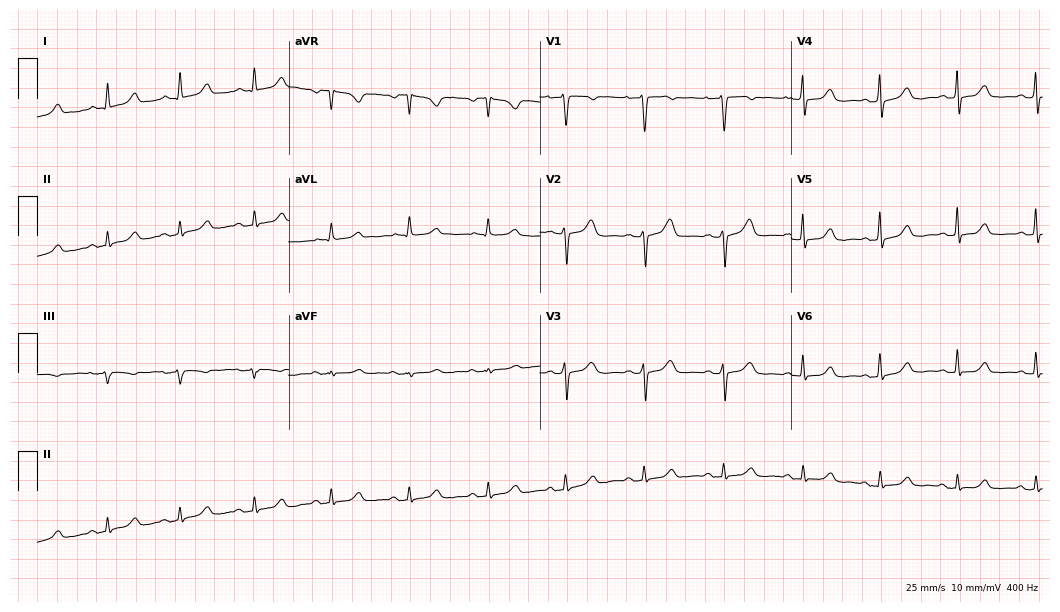
ECG (10.2-second recording at 400 Hz) — a 49-year-old woman. Screened for six findings — first-degree AV block, right bundle branch block, left bundle branch block, sinus bradycardia, atrial fibrillation, sinus tachycardia — none is recorded. Findings outside these six are not listed.